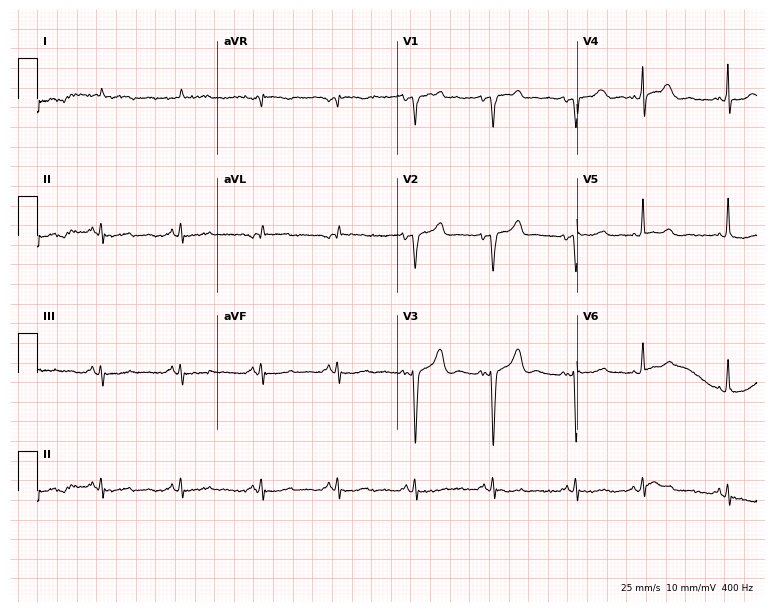
Electrocardiogram (7.3-second recording at 400 Hz), a 79-year-old woman. Of the six screened findings (first-degree AV block, right bundle branch block, left bundle branch block, sinus bradycardia, atrial fibrillation, sinus tachycardia), none is recorded. Only these six findings were labelled.